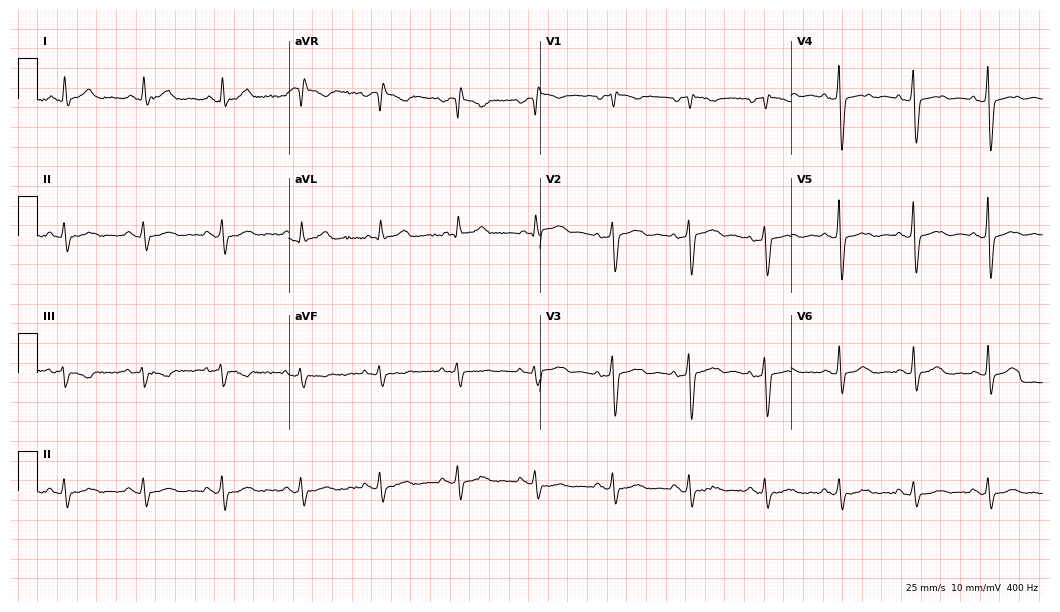
Standard 12-lead ECG recorded from a 78-year-old man (10.2-second recording at 400 Hz). None of these six findings is recorded: first-degree AV block, right bundle branch block, left bundle branch block, sinus bradycardia, atrial fibrillation, sinus tachycardia.